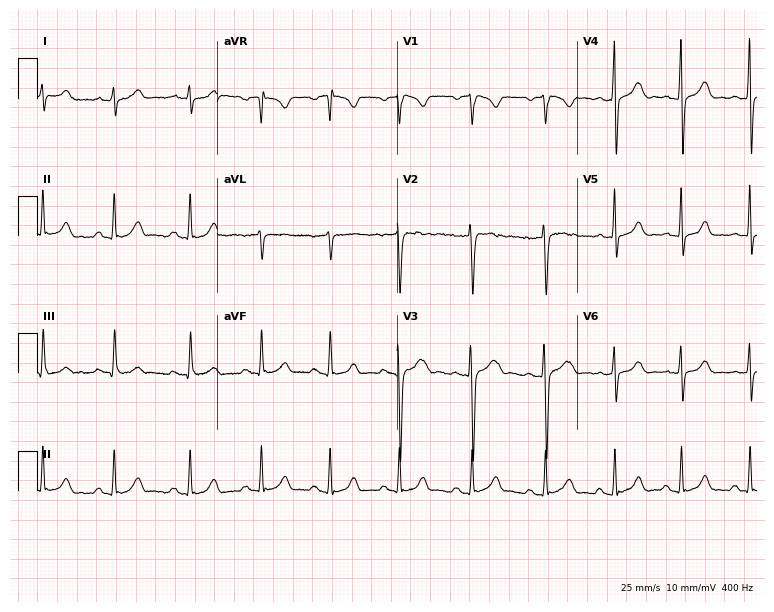
Standard 12-lead ECG recorded from a 24-year-old female patient (7.3-second recording at 400 Hz). None of these six findings is recorded: first-degree AV block, right bundle branch block (RBBB), left bundle branch block (LBBB), sinus bradycardia, atrial fibrillation (AF), sinus tachycardia.